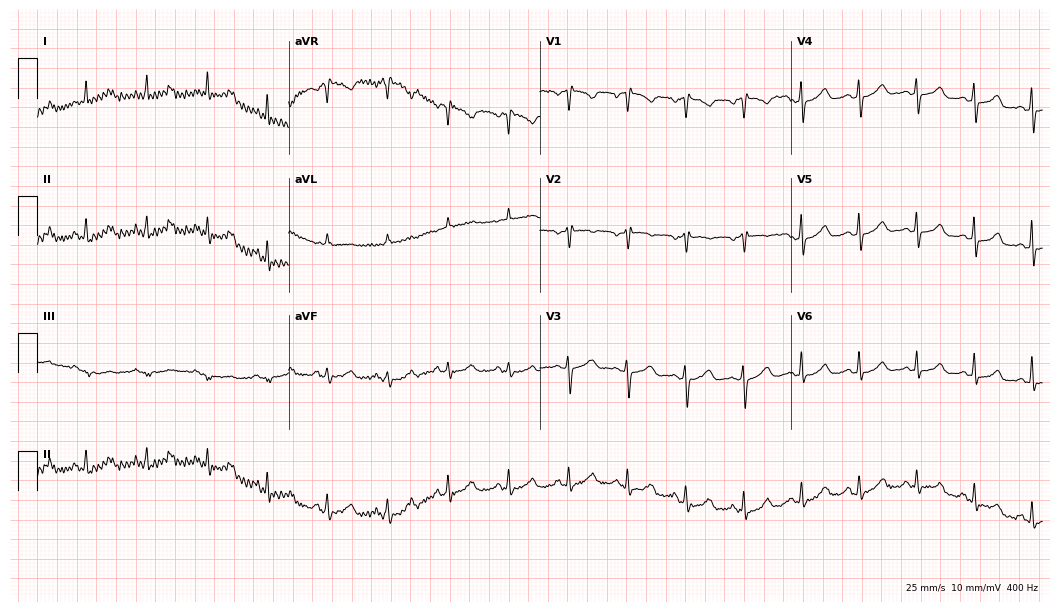
Electrocardiogram, a 42-year-old female patient. Overall reading on record: normal ECG.